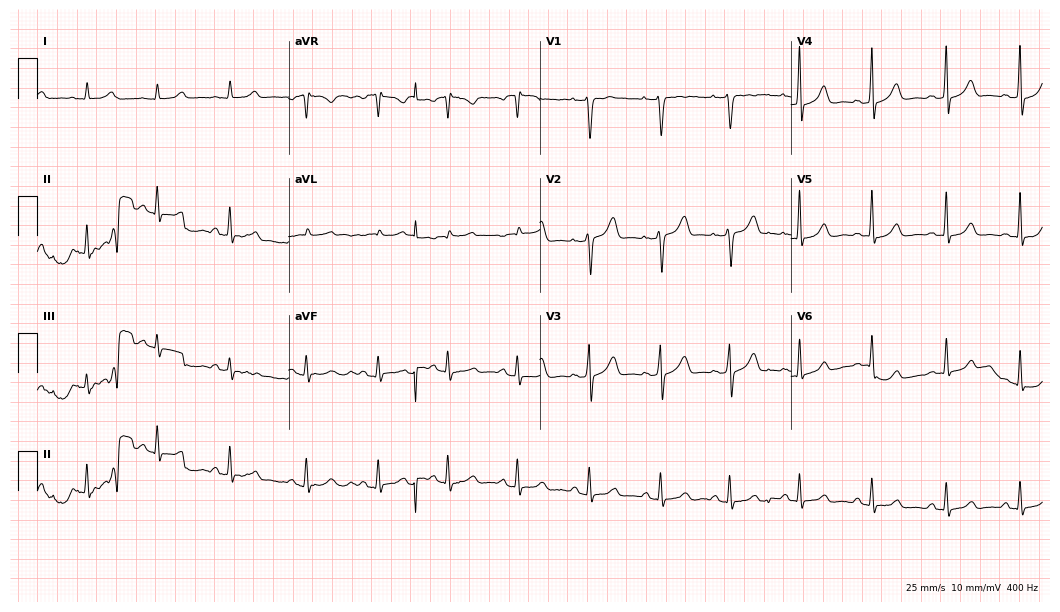
Electrocardiogram, a 45-year-old female. Overall reading on record: normal ECG.